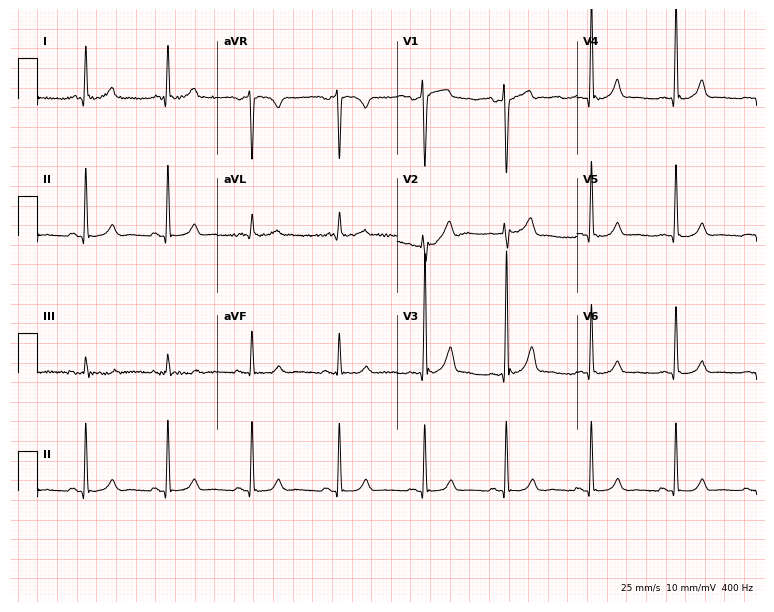
12-lead ECG from a 45-year-old male patient. Screened for six findings — first-degree AV block, right bundle branch block (RBBB), left bundle branch block (LBBB), sinus bradycardia, atrial fibrillation (AF), sinus tachycardia — none is recorded. Other findings, if any, are not listed.